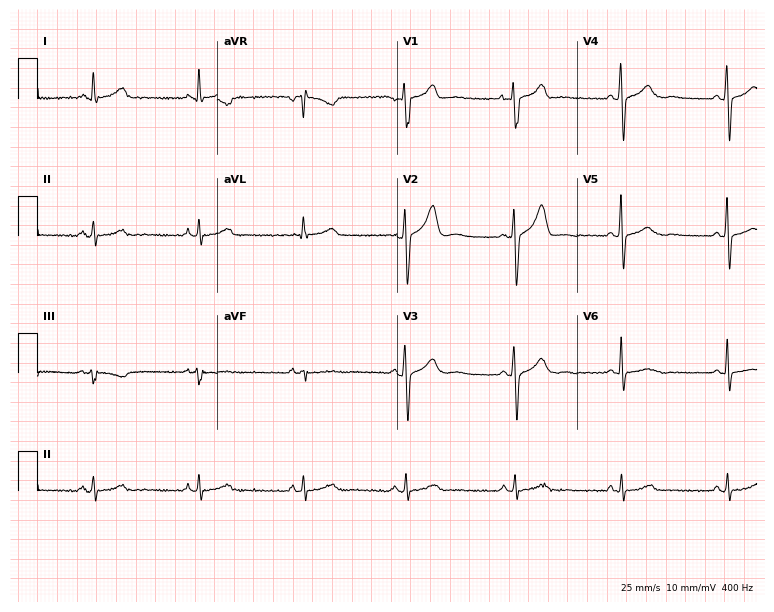
Standard 12-lead ECG recorded from a 43-year-old man. Read as a normal ECG.